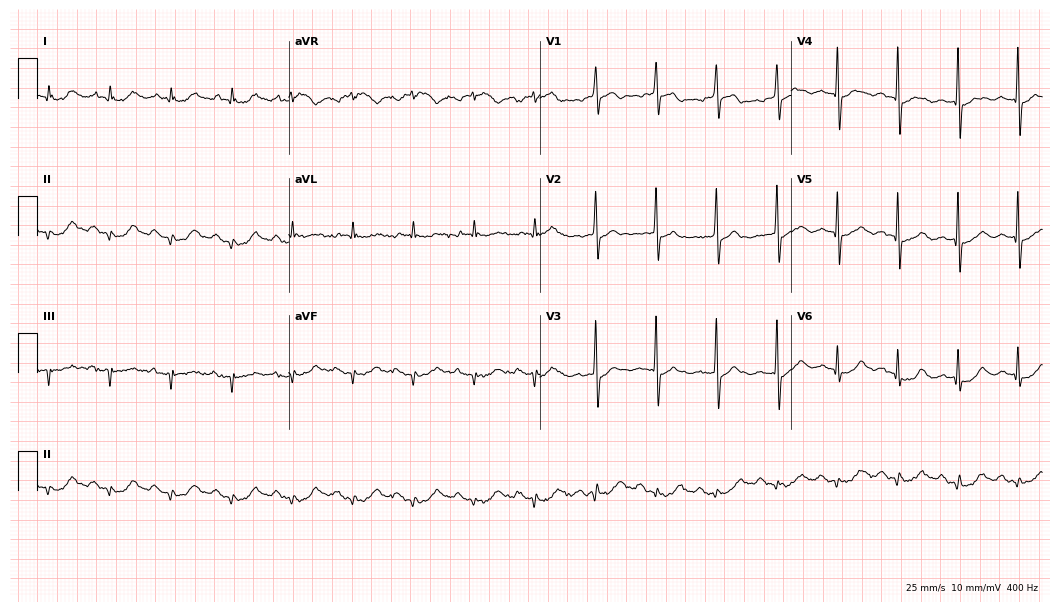
Resting 12-lead electrocardiogram. Patient: a male, 86 years old. None of these six findings is recorded: first-degree AV block, right bundle branch block, left bundle branch block, sinus bradycardia, atrial fibrillation, sinus tachycardia. Findings outside these six are not listed.